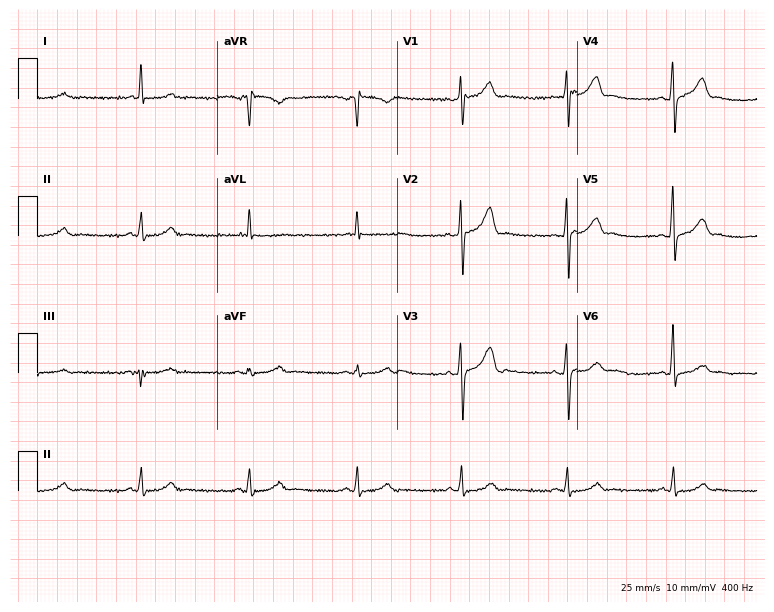
Electrocardiogram (7.3-second recording at 400 Hz), a 59-year-old male. Overall reading on record: normal ECG.